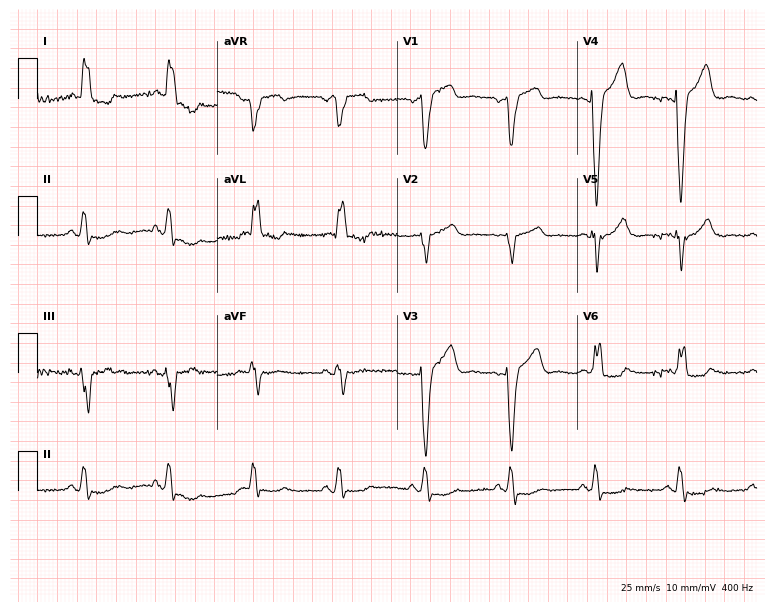
ECG — a 76-year-old female patient. Findings include left bundle branch block.